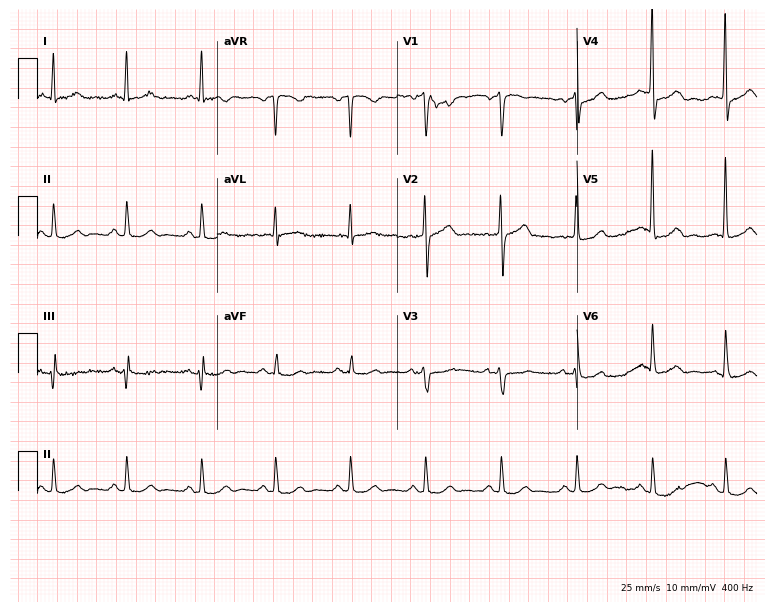
Resting 12-lead electrocardiogram. Patient: a male, 53 years old. Read as a normal ECG.